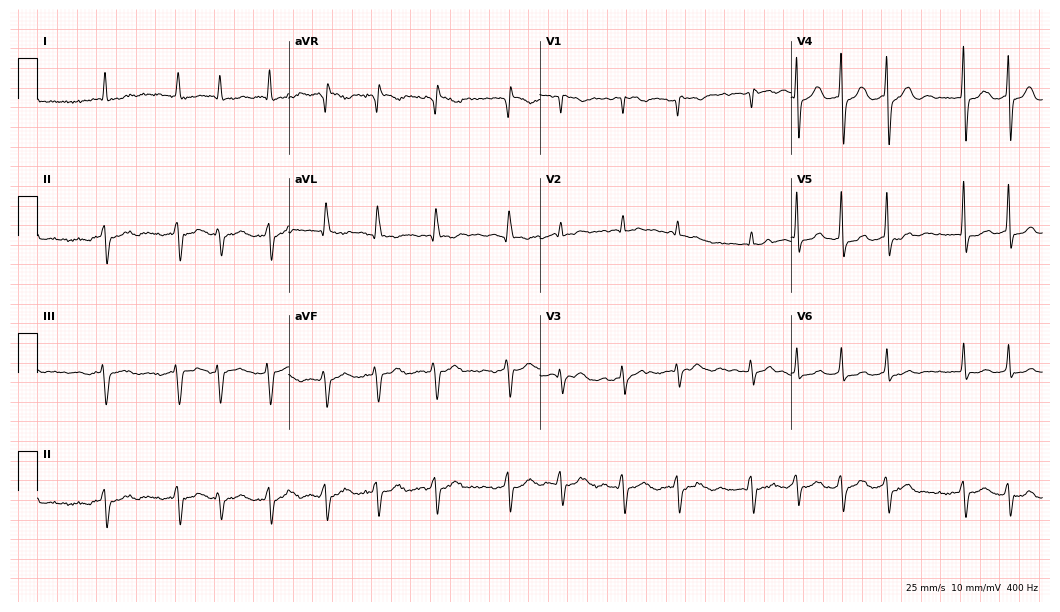
12-lead ECG from a man, 78 years old. Findings include atrial fibrillation.